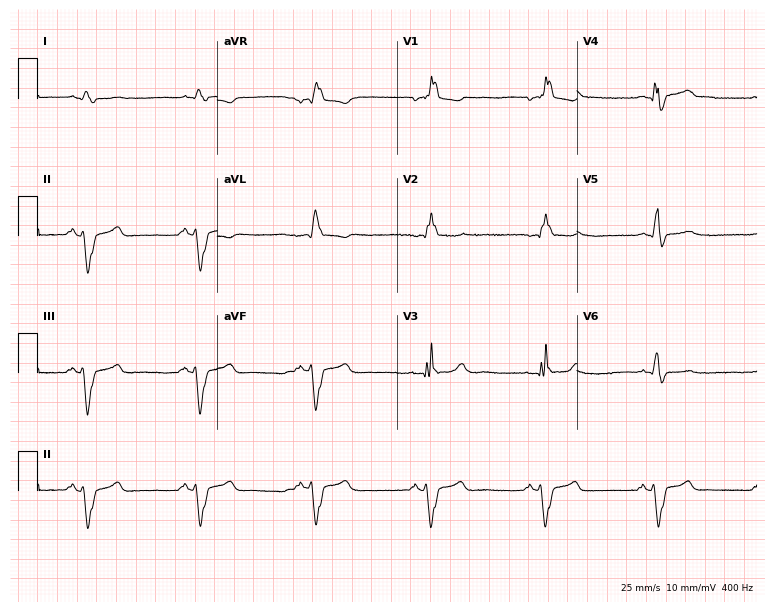
Standard 12-lead ECG recorded from a 67-year-old male. The tracing shows right bundle branch block (RBBB).